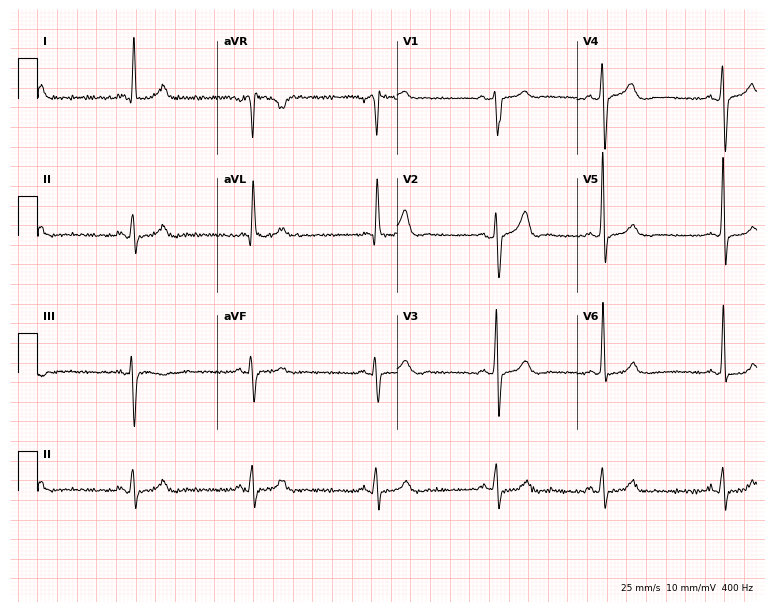
Resting 12-lead electrocardiogram. Patient: a 49-year-old man. The tracing shows sinus bradycardia (a sinus rate of 50 beats per minute or less).